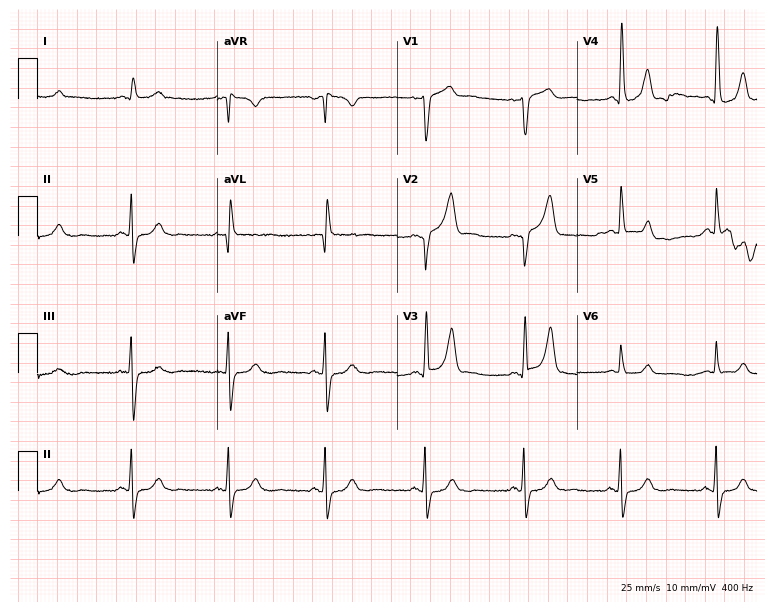
Resting 12-lead electrocardiogram. Patient: a 72-year-old male. Read as a normal ECG.